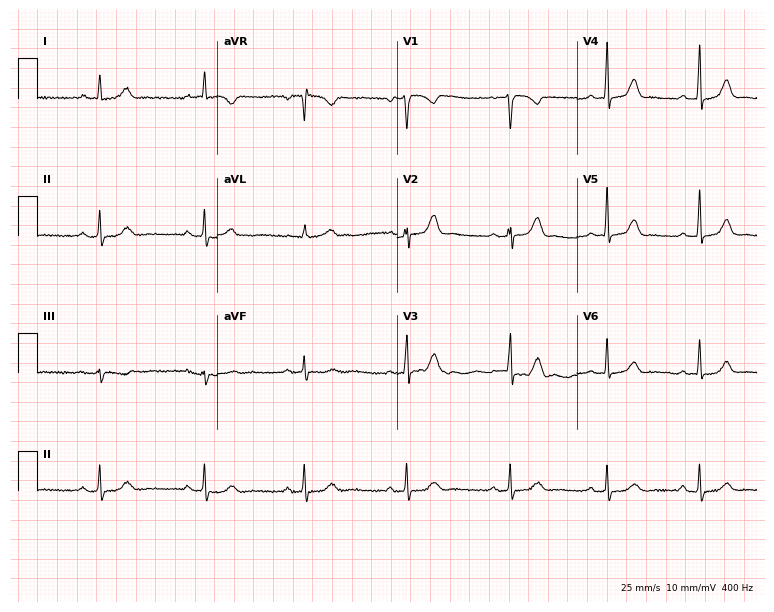
12-lead ECG from a female patient, 41 years old. No first-degree AV block, right bundle branch block (RBBB), left bundle branch block (LBBB), sinus bradycardia, atrial fibrillation (AF) or sinus tachycardia recorded for this tracing. Only these six findings were labelled.